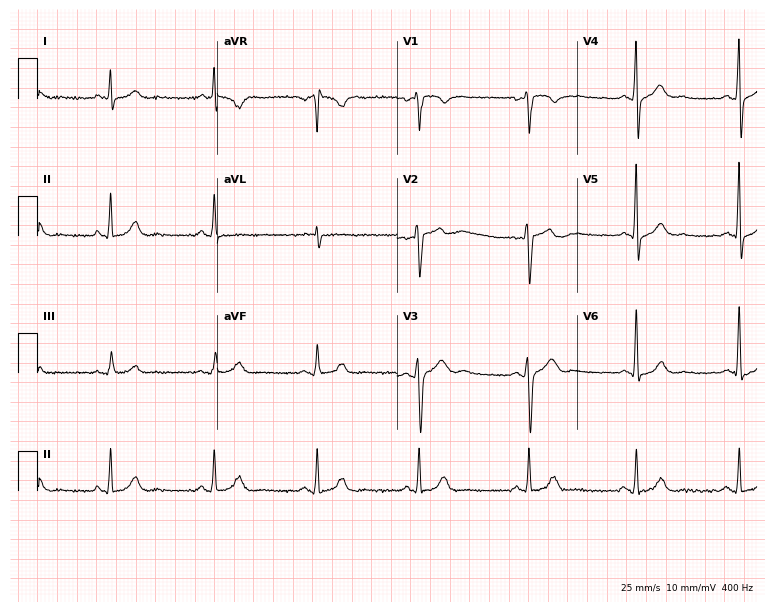
12-lead ECG (7.3-second recording at 400 Hz) from a male patient, 39 years old. Labelled as a normal ECG.